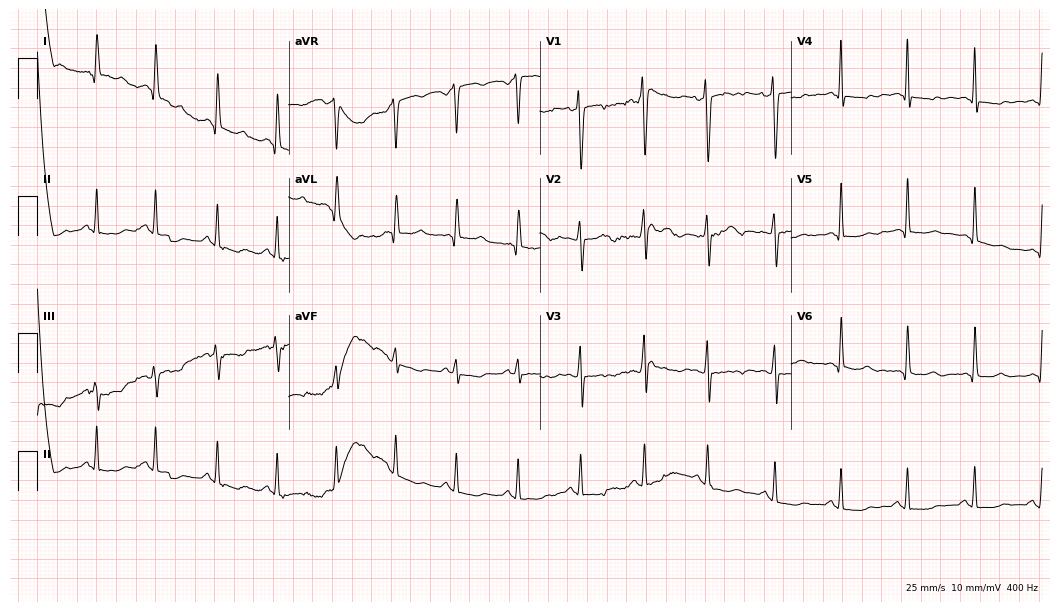
Electrocardiogram, a female patient, 44 years old. Of the six screened findings (first-degree AV block, right bundle branch block, left bundle branch block, sinus bradycardia, atrial fibrillation, sinus tachycardia), none is recorded.